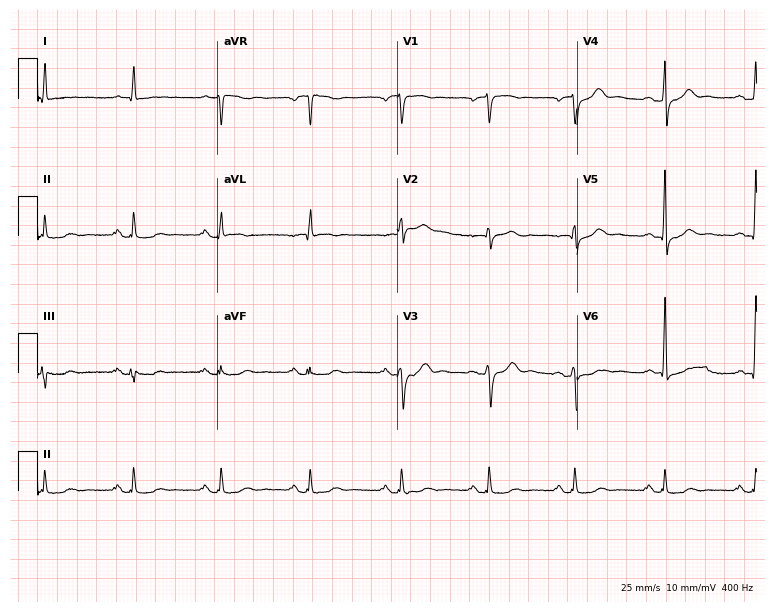
Electrocardiogram, a 77-year-old male patient. Of the six screened findings (first-degree AV block, right bundle branch block, left bundle branch block, sinus bradycardia, atrial fibrillation, sinus tachycardia), none is recorded.